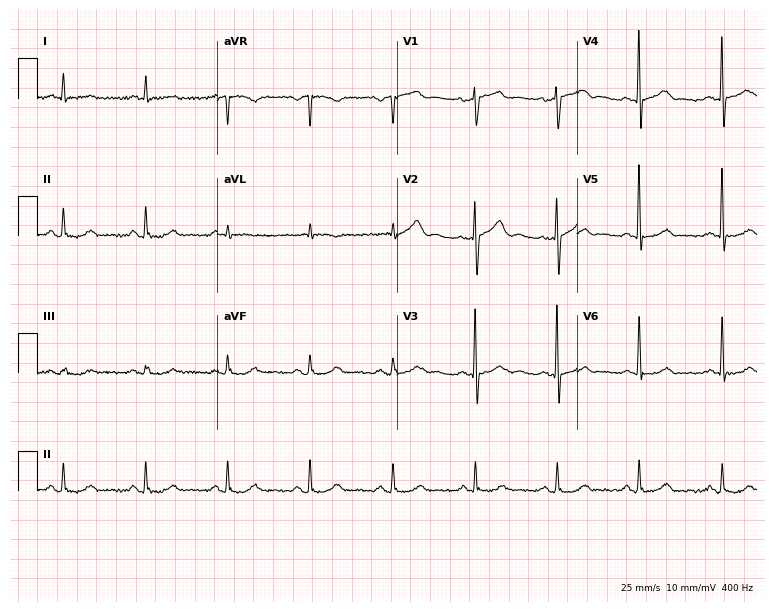
ECG — a 75-year-old man. Screened for six findings — first-degree AV block, right bundle branch block, left bundle branch block, sinus bradycardia, atrial fibrillation, sinus tachycardia — none is recorded. Only these six findings were labelled.